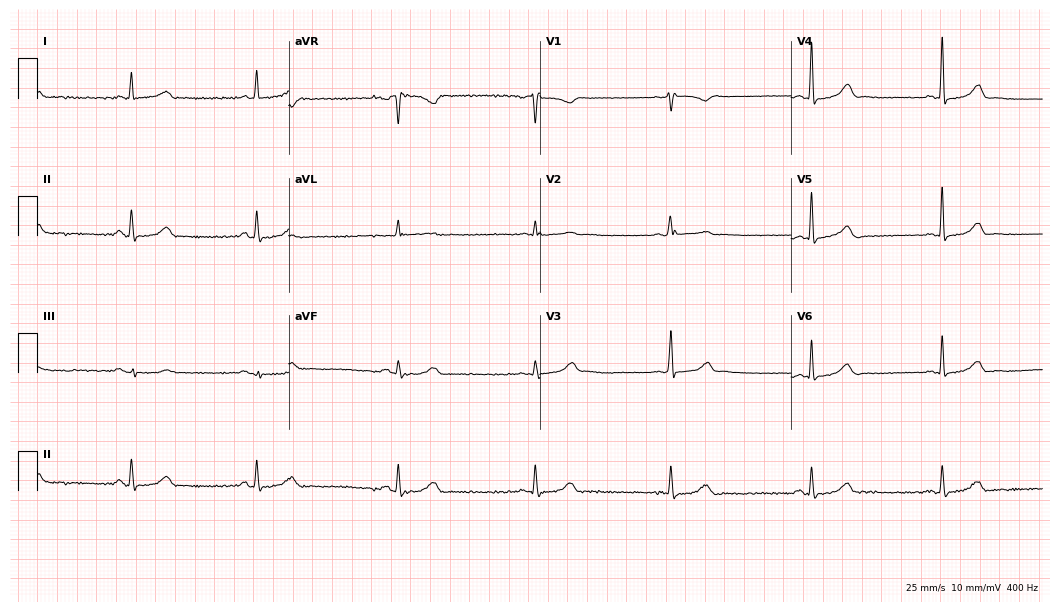
Standard 12-lead ECG recorded from a woman, 42 years old. None of these six findings is recorded: first-degree AV block, right bundle branch block (RBBB), left bundle branch block (LBBB), sinus bradycardia, atrial fibrillation (AF), sinus tachycardia.